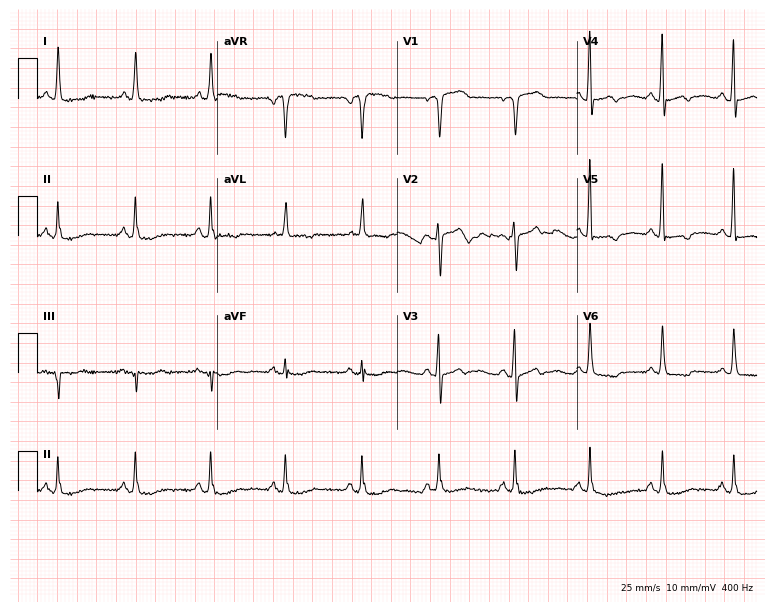
Resting 12-lead electrocardiogram (7.3-second recording at 400 Hz). Patient: a female, 66 years old. None of these six findings is recorded: first-degree AV block, right bundle branch block, left bundle branch block, sinus bradycardia, atrial fibrillation, sinus tachycardia.